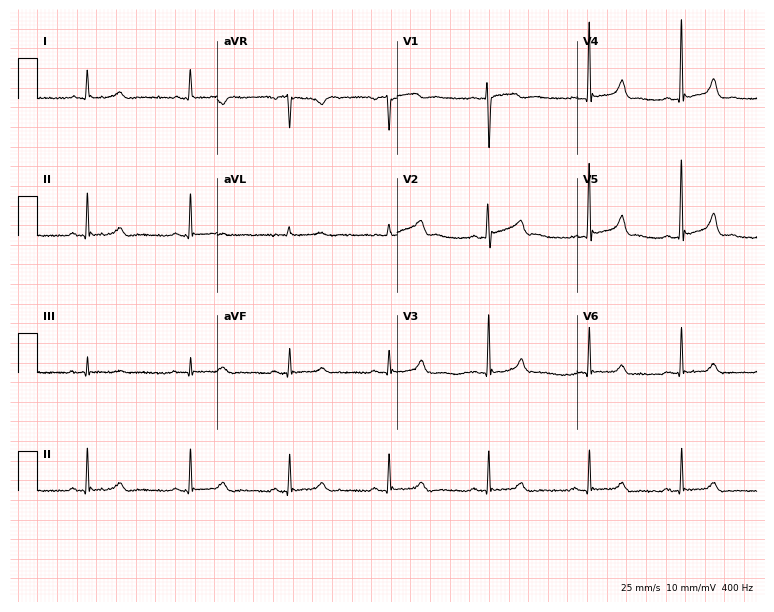
Resting 12-lead electrocardiogram. Patient: a 29-year-old woman. None of these six findings is recorded: first-degree AV block, right bundle branch block, left bundle branch block, sinus bradycardia, atrial fibrillation, sinus tachycardia. Other findings, if any, are not listed.